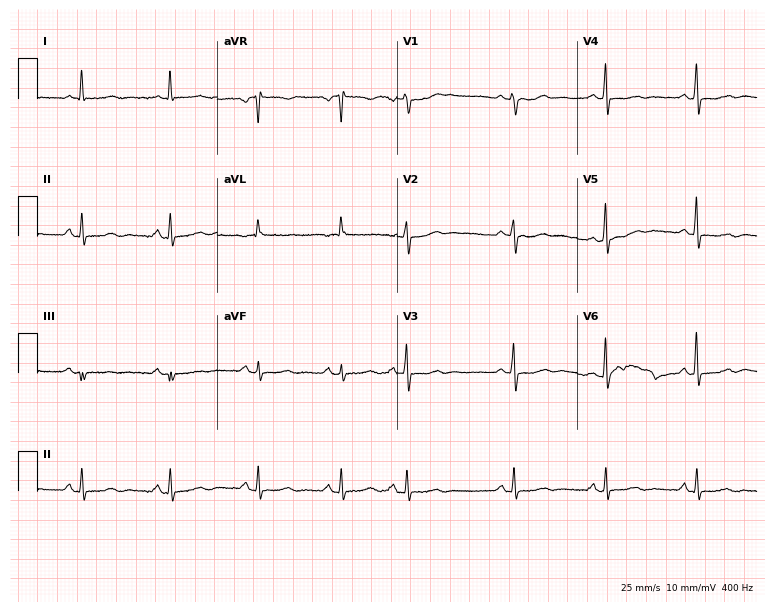
12-lead ECG from a female, 75 years old. Labelled as a normal ECG.